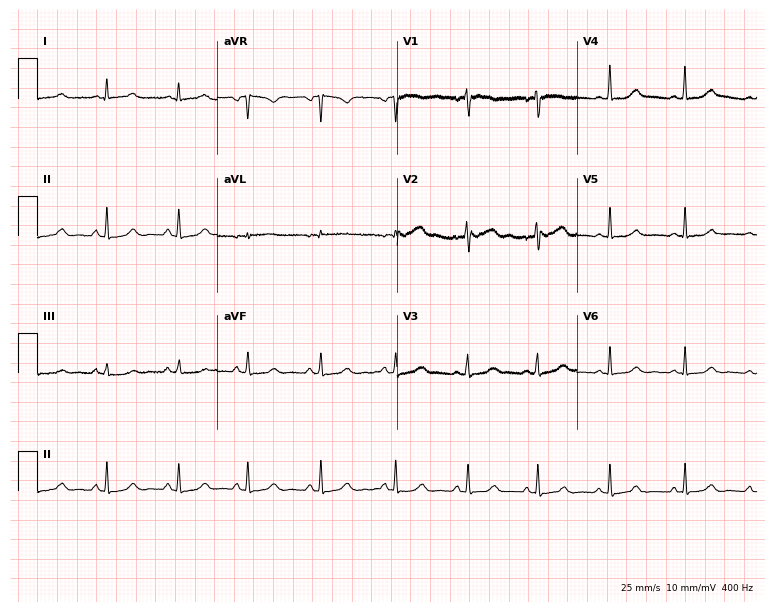
12-lead ECG (7.3-second recording at 400 Hz) from a 33-year-old female. Labelled as a normal ECG.